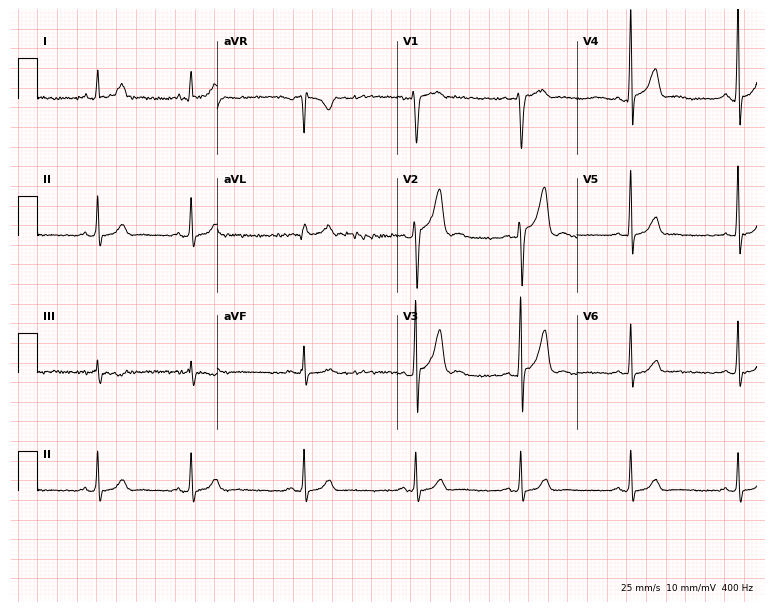
Resting 12-lead electrocardiogram. Patient: a 20-year-old male. None of these six findings is recorded: first-degree AV block, right bundle branch block, left bundle branch block, sinus bradycardia, atrial fibrillation, sinus tachycardia. Only these six findings were labelled.